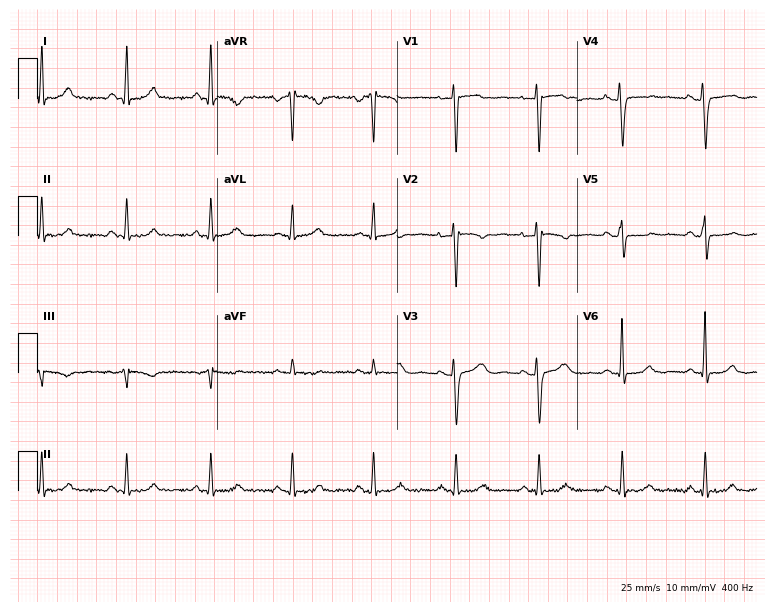
ECG — a 49-year-old female patient. Screened for six findings — first-degree AV block, right bundle branch block (RBBB), left bundle branch block (LBBB), sinus bradycardia, atrial fibrillation (AF), sinus tachycardia — none is recorded. Only these six findings were labelled.